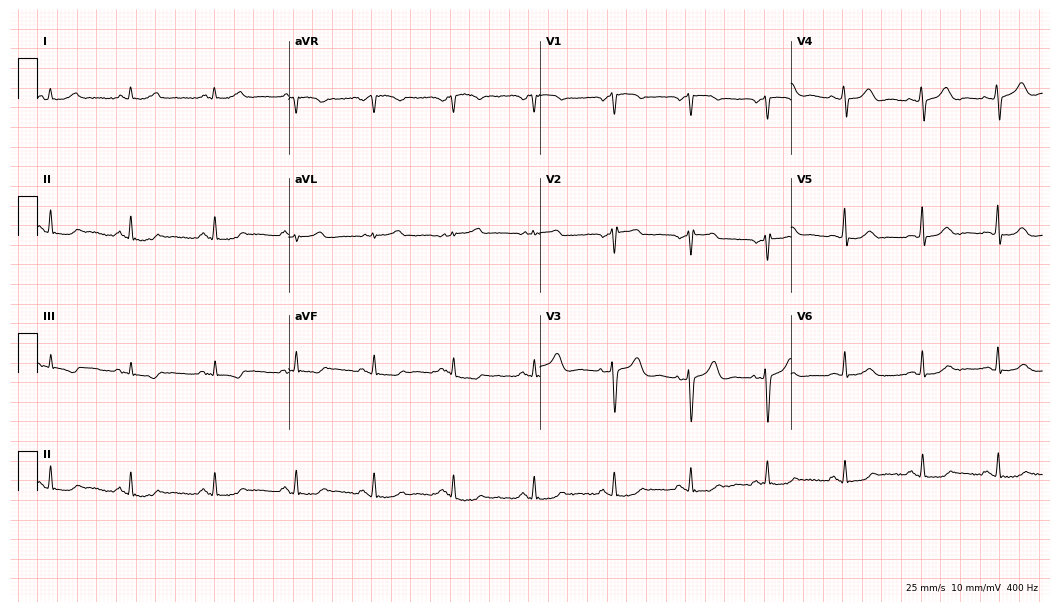
Standard 12-lead ECG recorded from a 42-year-old female patient (10.2-second recording at 400 Hz). None of these six findings is recorded: first-degree AV block, right bundle branch block, left bundle branch block, sinus bradycardia, atrial fibrillation, sinus tachycardia. Findings outside these six are not listed.